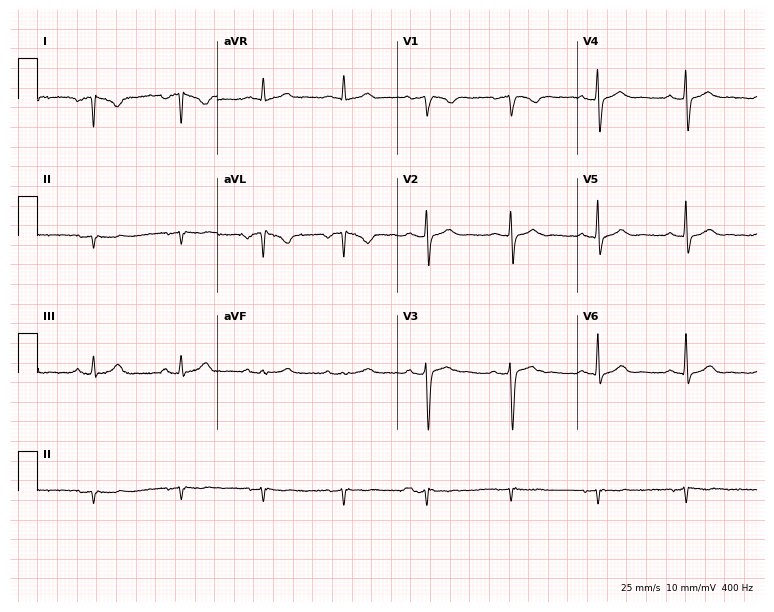
Electrocardiogram (7.3-second recording at 400 Hz), a 44-year-old male. Of the six screened findings (first-degree AV block, right bundle branch block, left bundle branch block, sinus bradycardia, atrial fibrillation, sinus tachycardia), none is recorded.